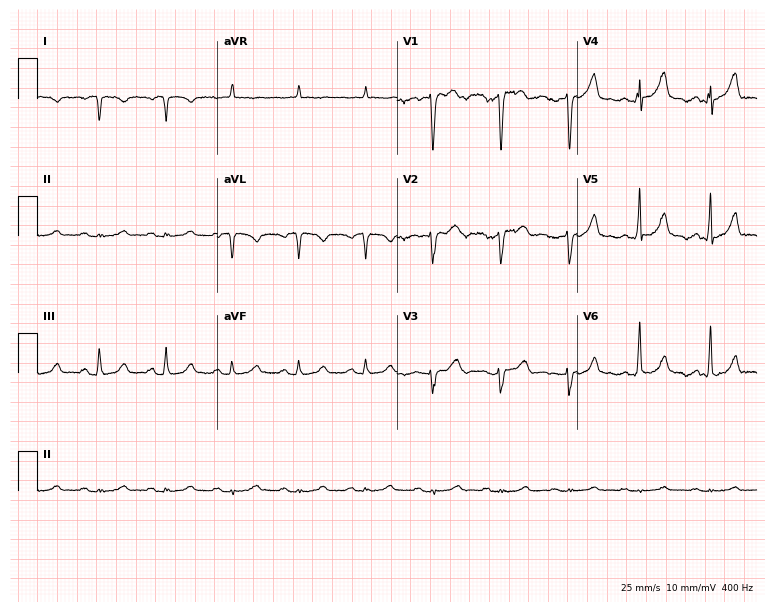
Electrocardiogram, a 54-year-old woman. Of the six screened findings (first-degree AV block, right bundle branch block (RBBB), left bundle branch block (LBBB), sinus bradycardia, atrial fibrillation (AF), sinus tachycardia), none is recorded.